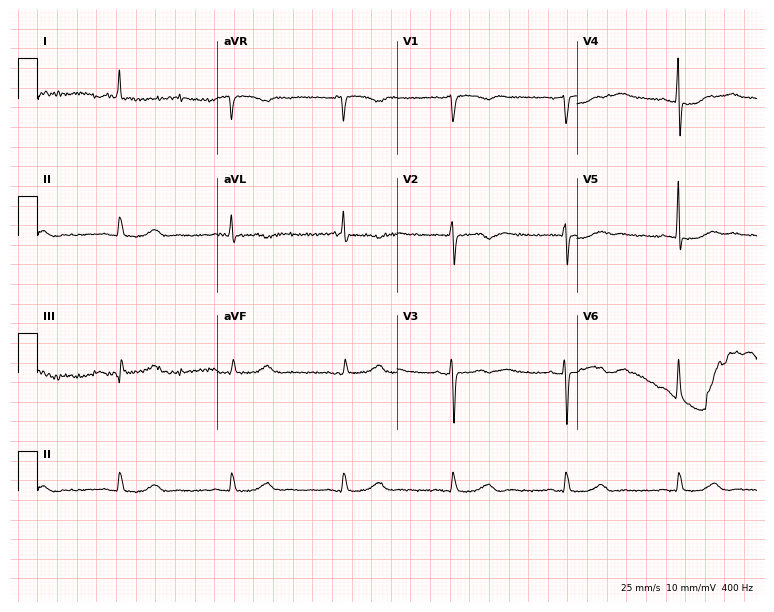
Resting 12-lead electrocardiogram. Patient: a 79-year-old female. None of these six findings is recorded: first-degree AV block, right bundle branch block, left bundle branch block, sinus bradycardia, atrial fibrillation, sinus tachycardia. Only these six findings were labelled.